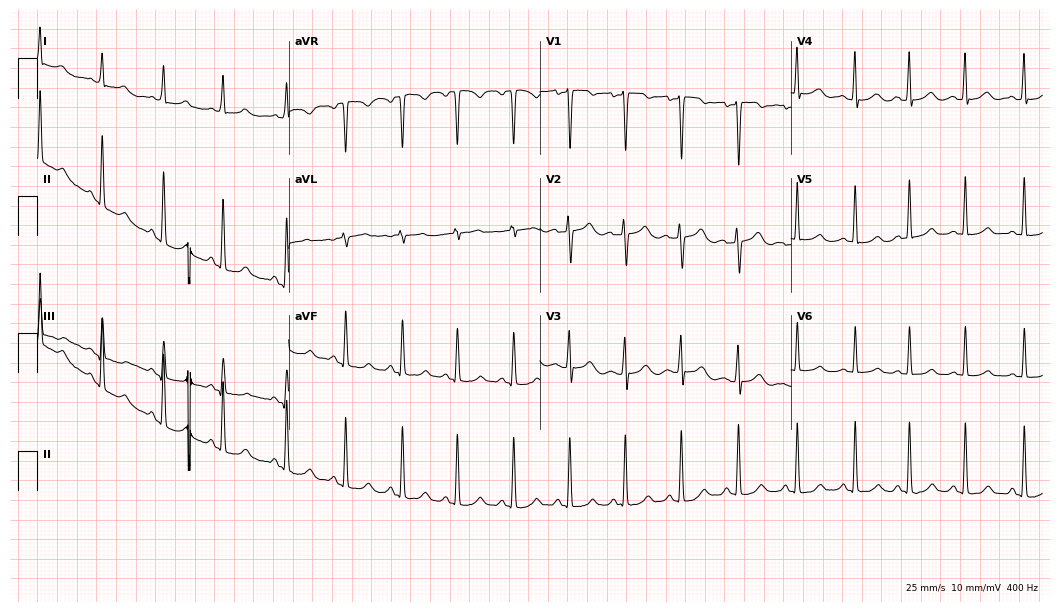
Standard 12-lead ECG recorded from a 31-year-old female patient (10.2-second recording at 400 Hz). The tracing shows sinus tachycardia (a sinus rate of 100 beats per minute or more).